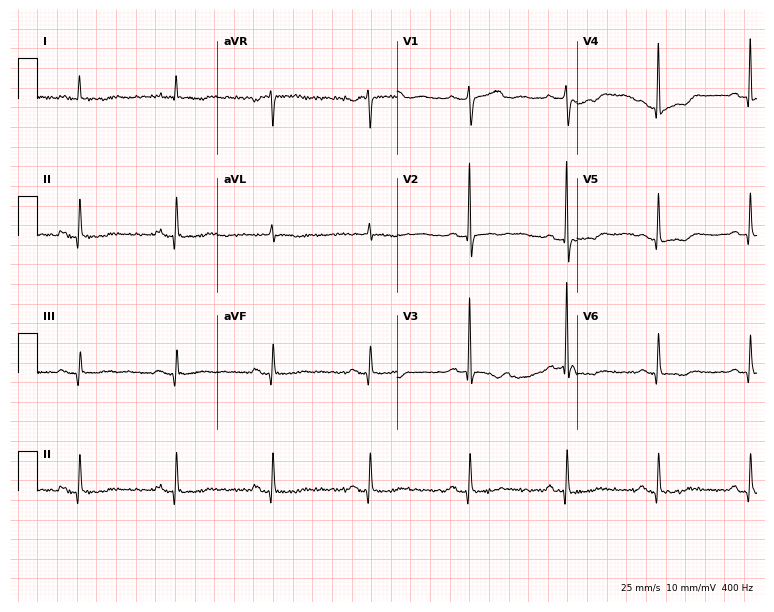
Resting 12-lead electrocardiogram (7.3-second recording at 400 Hz). Patient: a woman, 66 years old. None of these six findings is recorded: first-degree AV block, right bundle branch block, left bundle branch block, sinus bradycardia, atrial fibrillation, sinus tachycardia. Only these six findings were labelled.